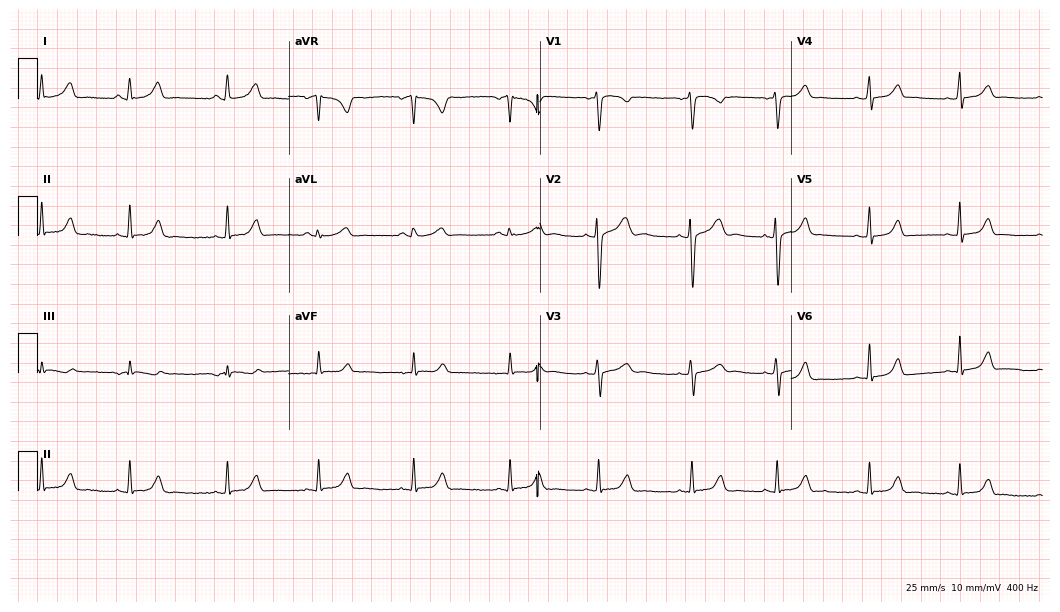
12-lead ECG from a female, 21 years old. Labelled as a normal ECG.